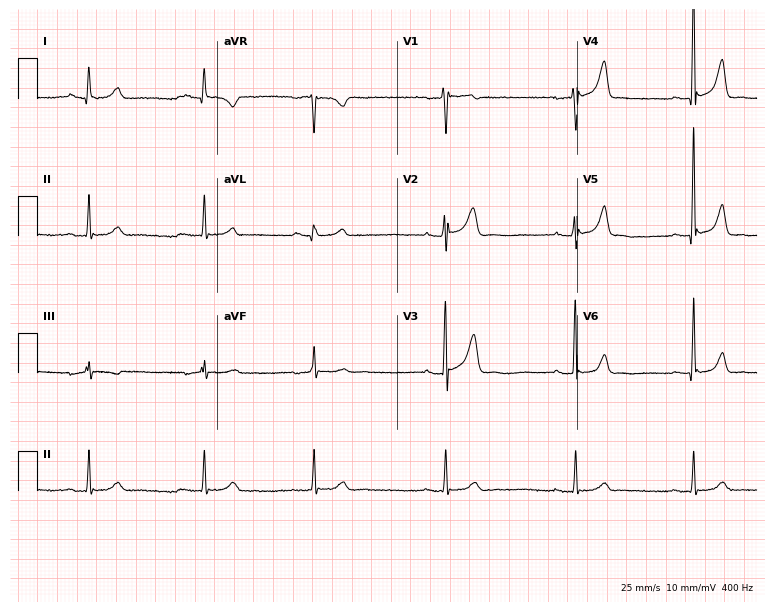
Resting 12-lead electrocardiogram. Patient: a 34-year-old male. The tracing shows sinus bradycardia (a sinus rate of 50 beats per minute or less).